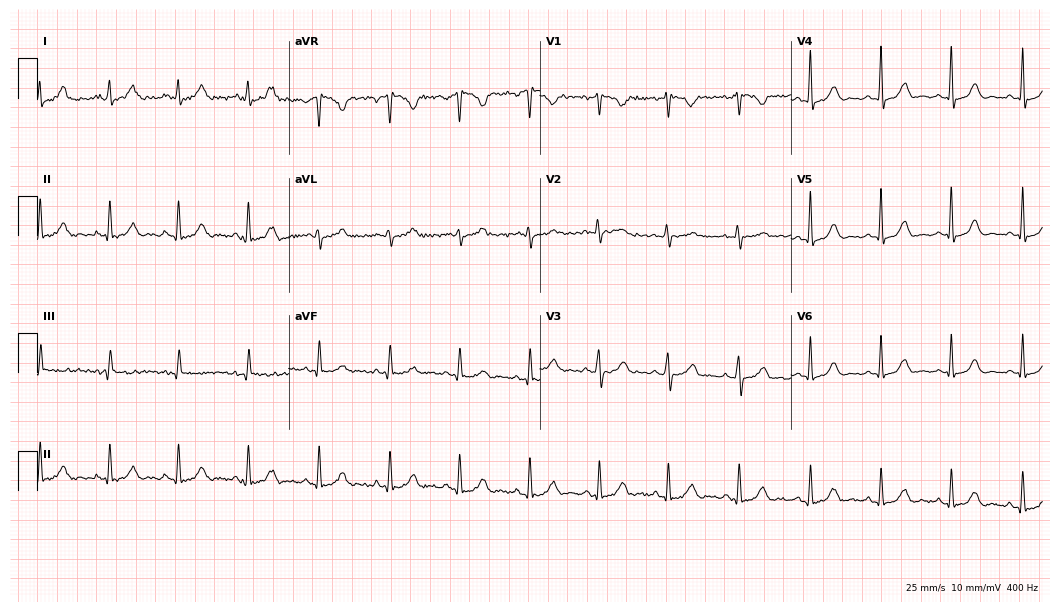
Standard 12-lead ECG recorded from a female, 33 years old (10.2-second recording at 400 Hz). Read as a normal ECG.